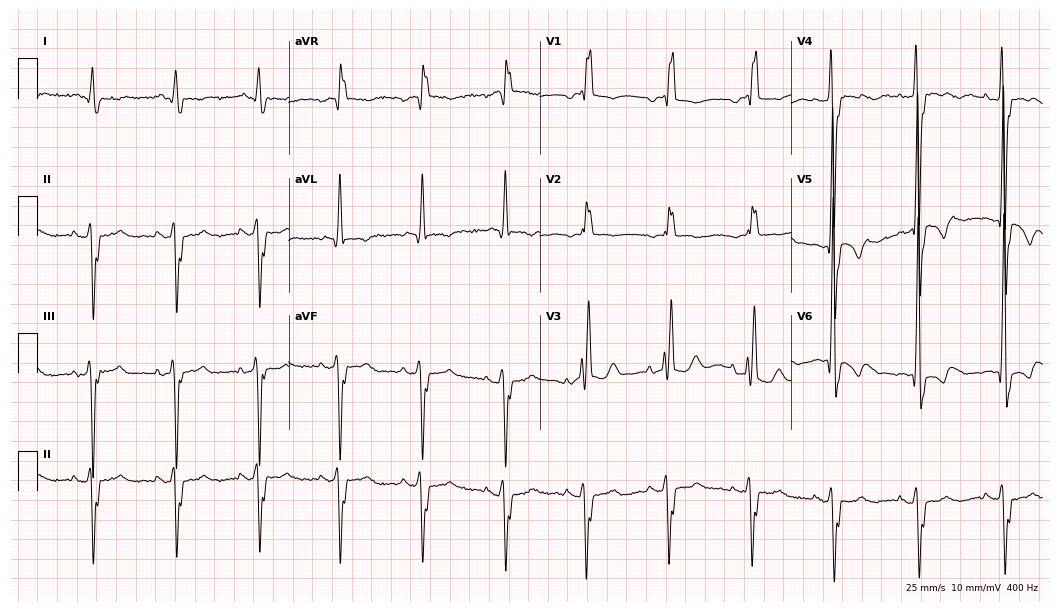
ECG (10.2-second recording at 400 Hz) — a male, 70 years old. Findings include right bundle branch block.